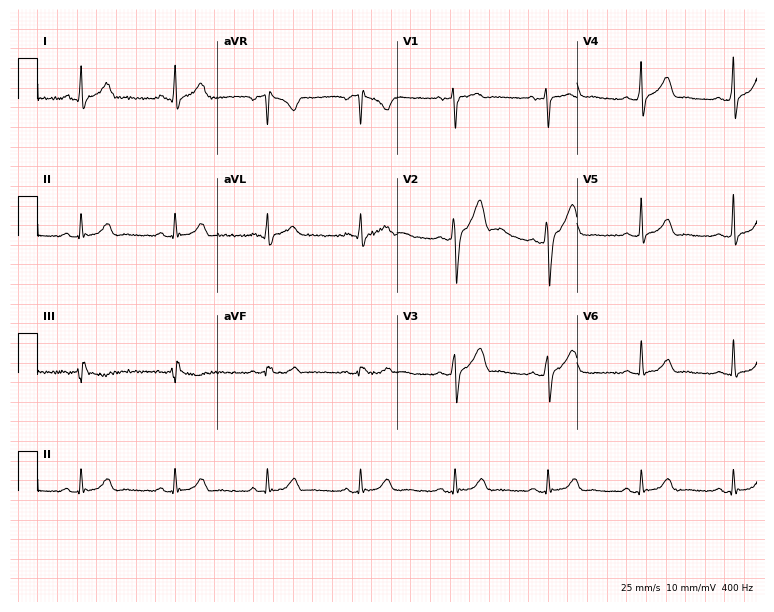
Electrocardiogram, a man, 26 years old. Overall reading on record: normal ECG.